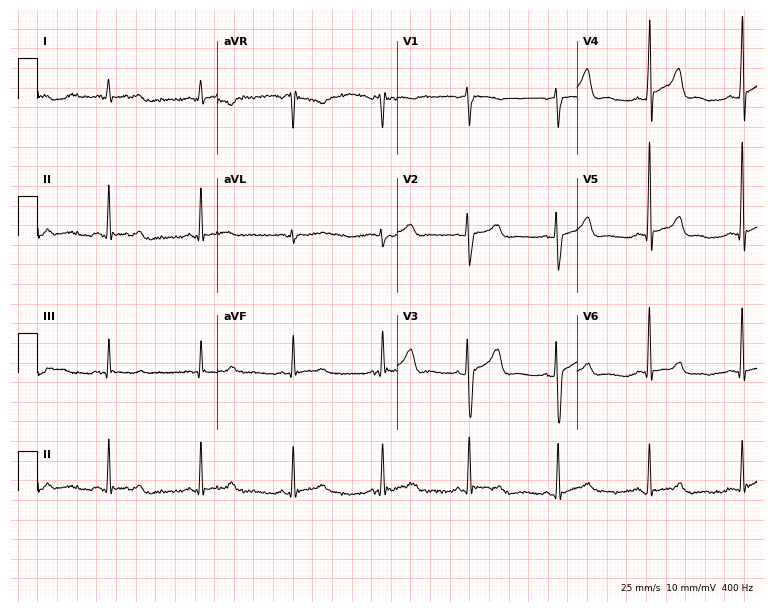
12-lead ECG from a male patient, 34 years old. Labelled as a normal ECG.